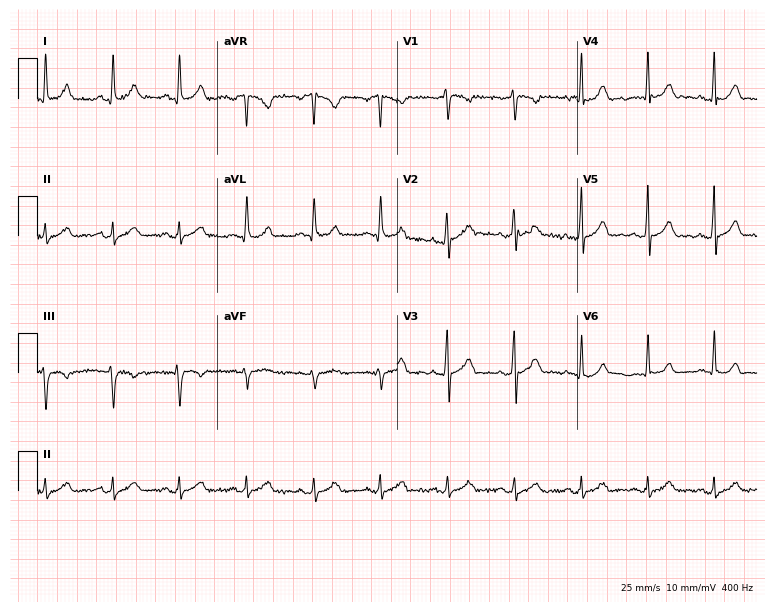
ECG (7.3-second recording at 400 Hz) — a 35-year-old female. Labelled as a normal ECG.